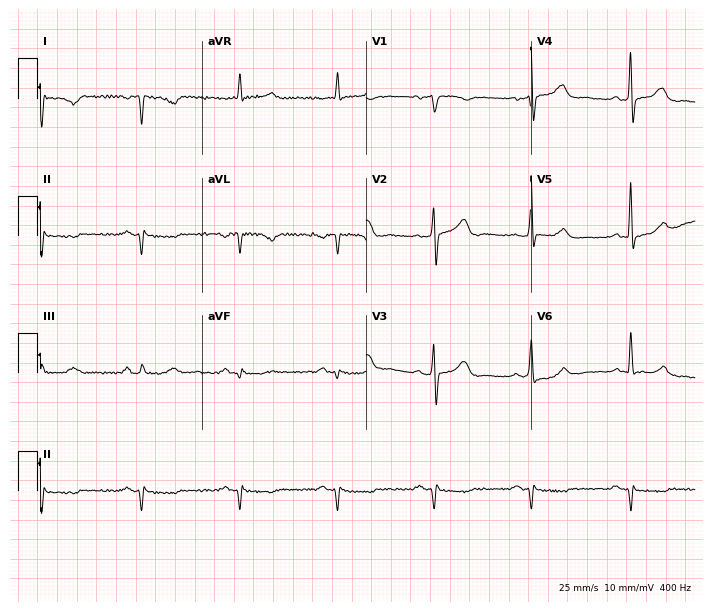
ECG — a 76-year-old man. Screened for six findings — first-degree AV block, right bundle branch block, left bundle branch block, sinus bradycardia, atrial fibrillation, sinus tachycardia — none is recorded. Only these six findings were labelled.